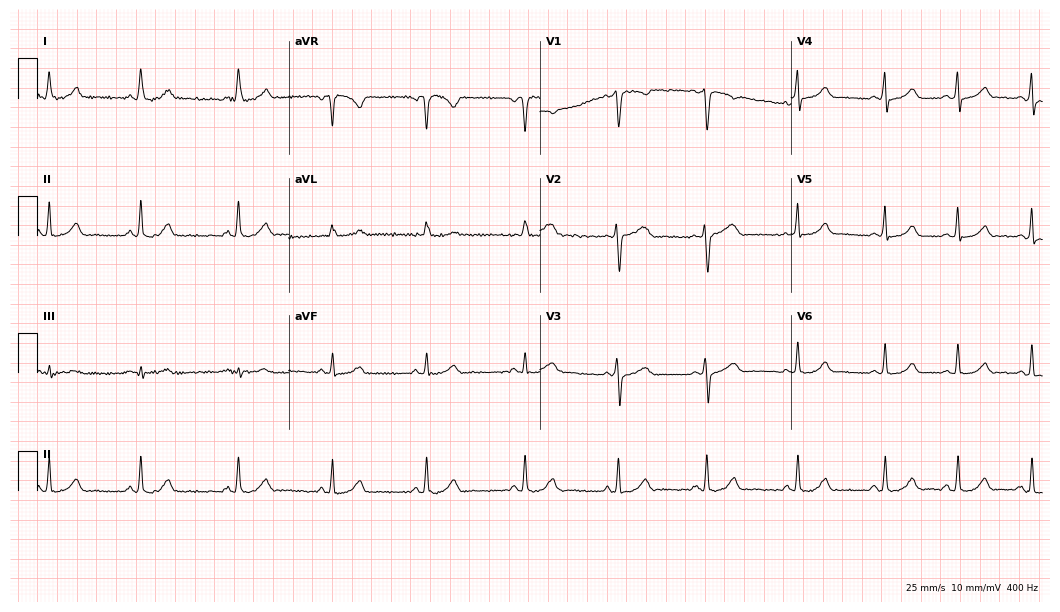
Electrocardiogram (10.2-second recording at 400 Hz), a 27-year-old female patient. Of the six screened findings (first-degree AV block, right bundle branch block, left bundle branch block, sinus bradycardia, atrial fibrillation, sinus tachycardia), none is recorded.